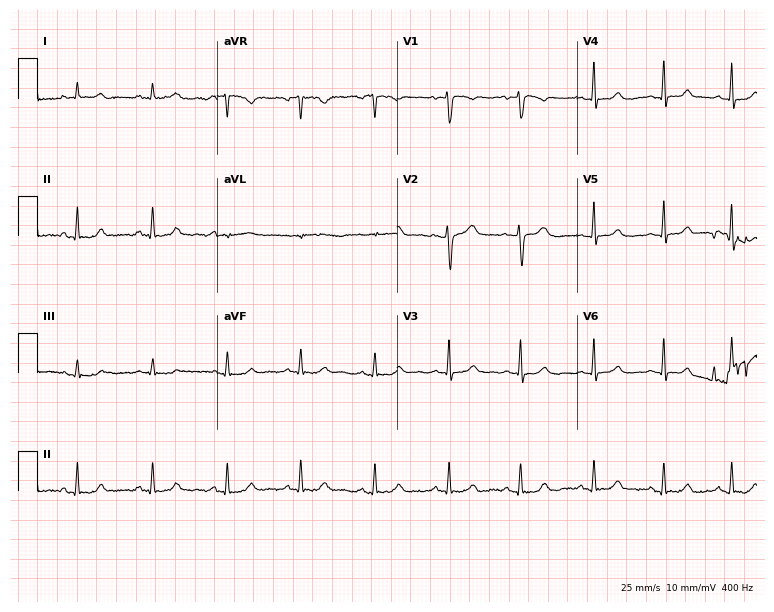
12-lead ECG (7.3-second recording at 400 Hz) from a female patient, 37 years old. Screened for six findings — first-degree AV block, right bundle branch block (RBBB), left bundle branch block (LBBB), sinus bradycardia, atrial fibrillation (AF), sinus tachycardia — none is recorded.